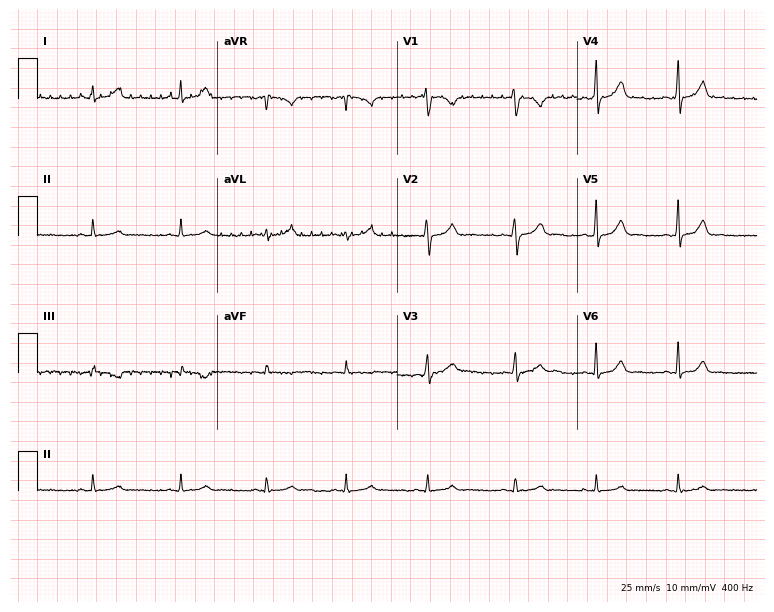
12-lead ECG from a 20-year-old female patient. Recorded interpretation: within normal limits.